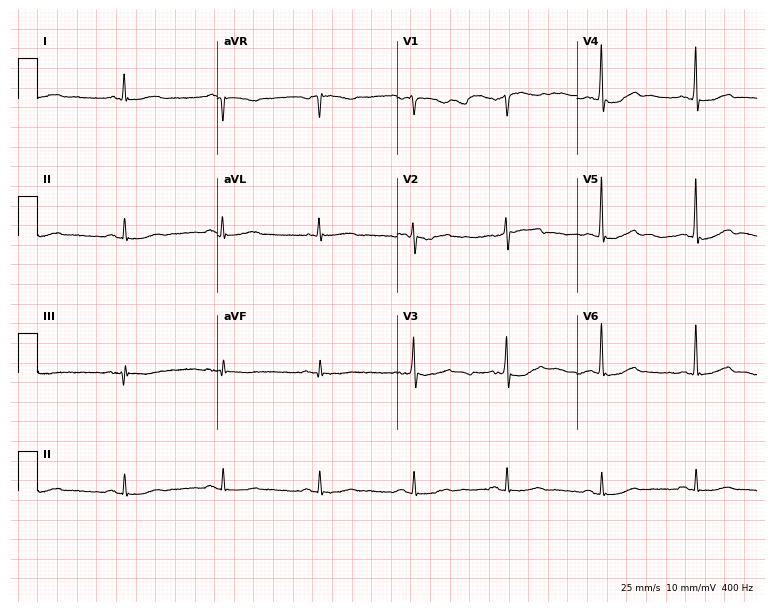
12-lead ECG from a male, 54 years old. Recorded interpretation: within normal limits.